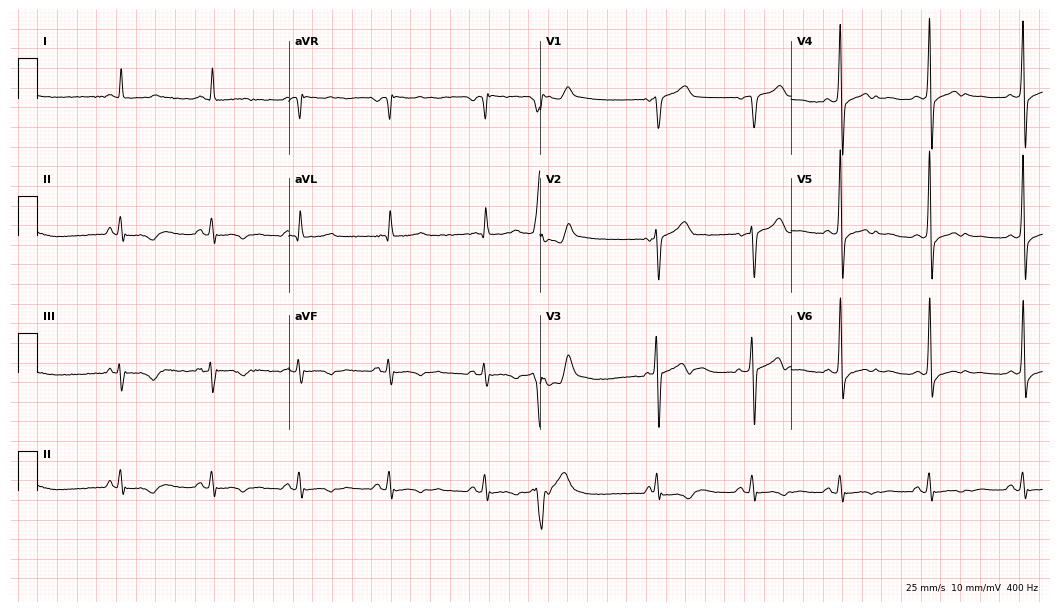
ECG — a 55-year-old male. Screened for six findings — first-degree AV block, right bundle branch block, left bundle branch block, sinus bradycardia, atrial fibrillation, sinus tachycardia — none is recorded. Other findings, if any, are not listed.